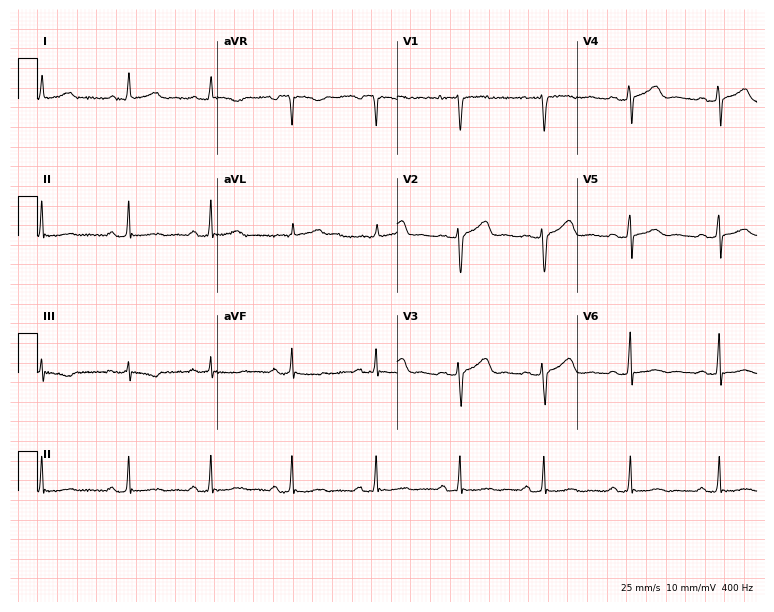
Standard 12-lead ECG recorded from a woman, 38 years old. None of these six findings is recorded: first-degree AV block, right bundle branch block, left bundle branch block, sinus bradycardia, atrial fibrillation, sinus tachycardia. Findings outside these six are not listed.